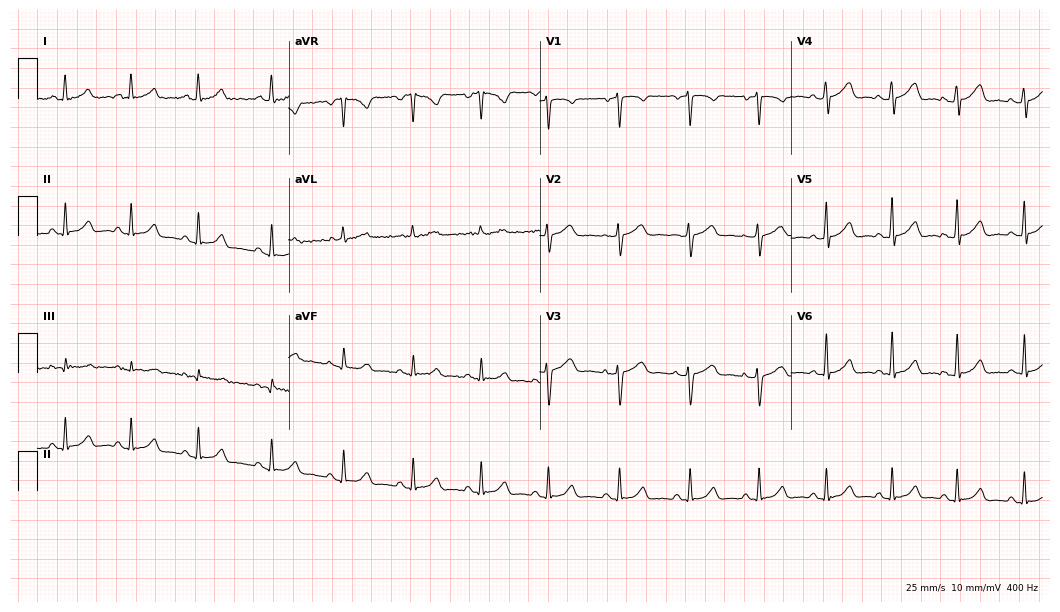
12-lead ECG from a 37-year-old woman. No first-degree AV block, right bundle branch block (RBBB), left bundle branch block (LBBB), sinus bradycardia, atrial fibrillation (AF) or sinus tachycardia recorded for this tracing.